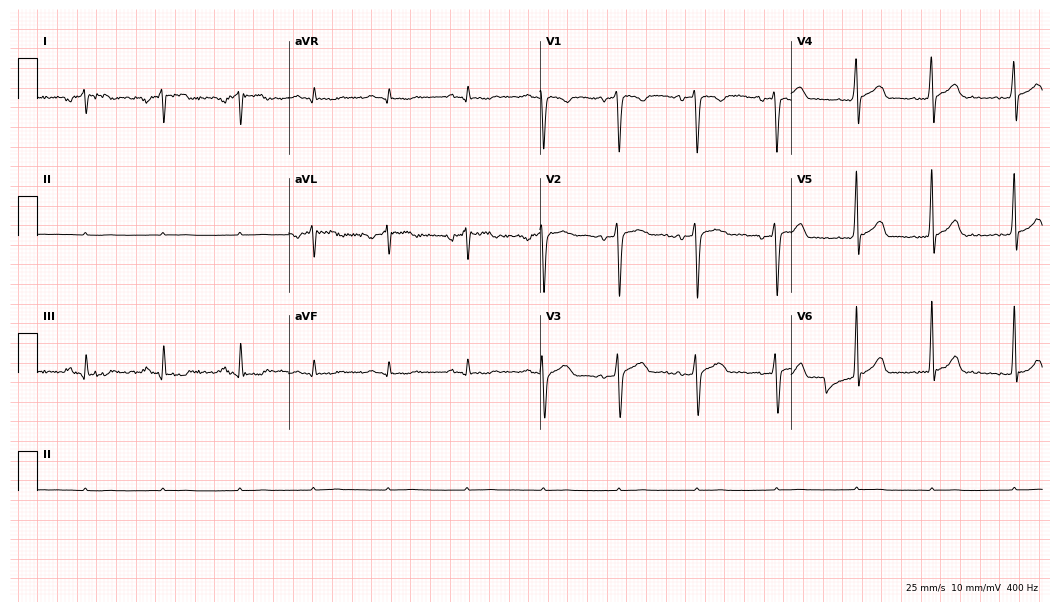
Electrocardiogram (10.2-second recording at 400 Hz), a 30-year-old male. Of the six screened findings (first-degree AV block, right bundle branch block, left bundle branch block, sinus bradycardia, atrial fibrillation, sinus tachycardia), none is recorded.